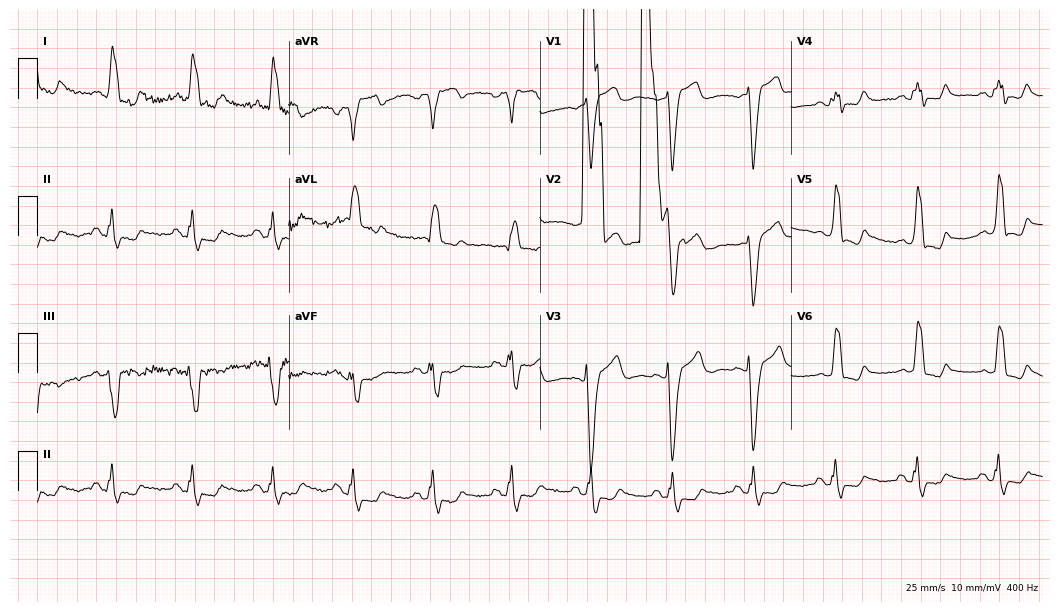
Electrocardiogram (10.2-second recording at 400 Hz), a 73-year-old woman. Of the six screened findings (first-degree AV block, right bundle branch block, left bundle branch block, sinus bradycardia, atrial fibrillation, sinus tachycardia), none is recorded. Only these six findings were labelled.